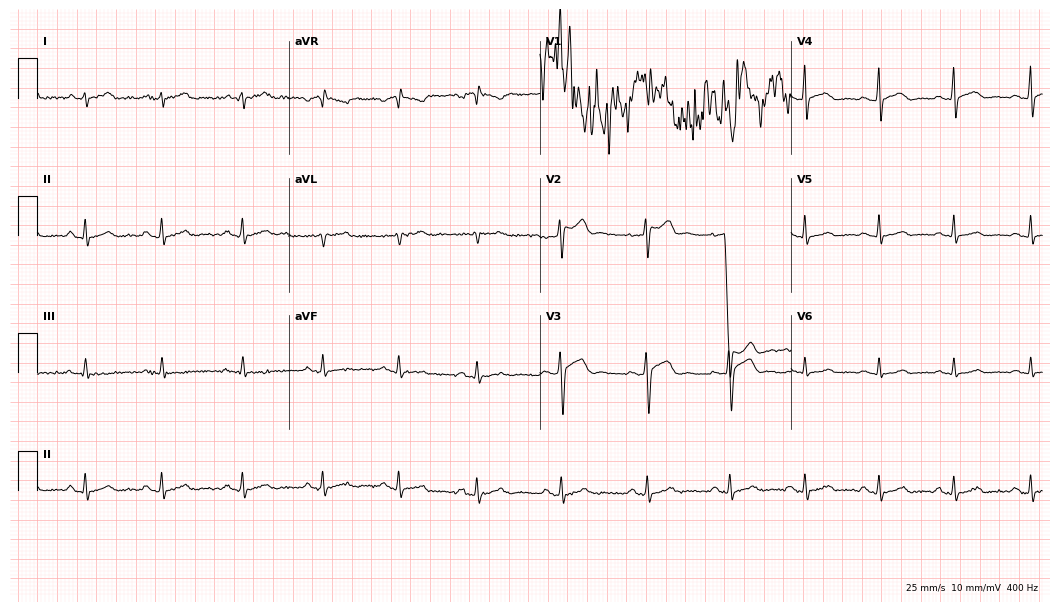
12-lead ECG from a 36-year-old man. Screened for six findings — first-degree AV block, right bundle branch block, left bundle branch block, sinus bradycardia, atrial fibrillation, sinus tachycardia — none is recorded.